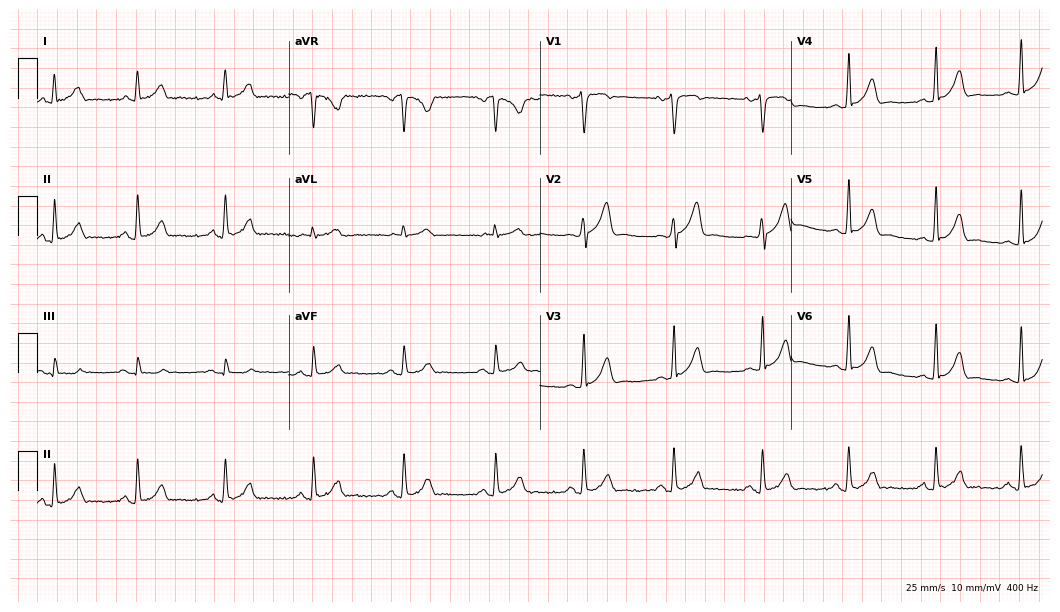
12-lead ECG from a 31-year-old male. Recorded interpretation: within normal limits.